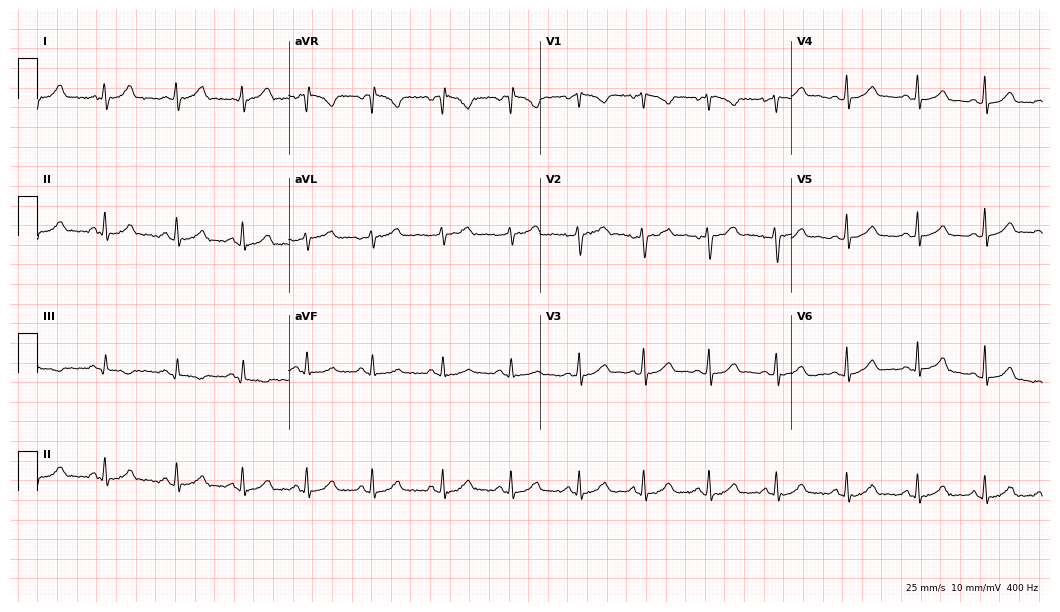
Electrocardiogram, a female, 41 years old. Overall reading on record: normal ECG.